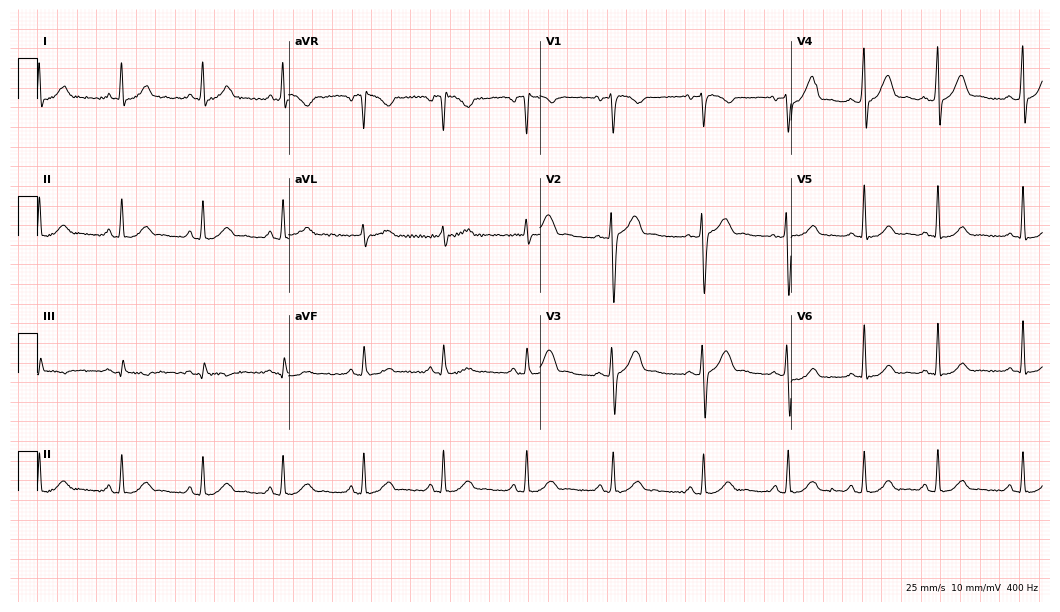
Resting 12-lead electrocardiogram. Patient: a 37-year-old man. Read as a normal ECG.